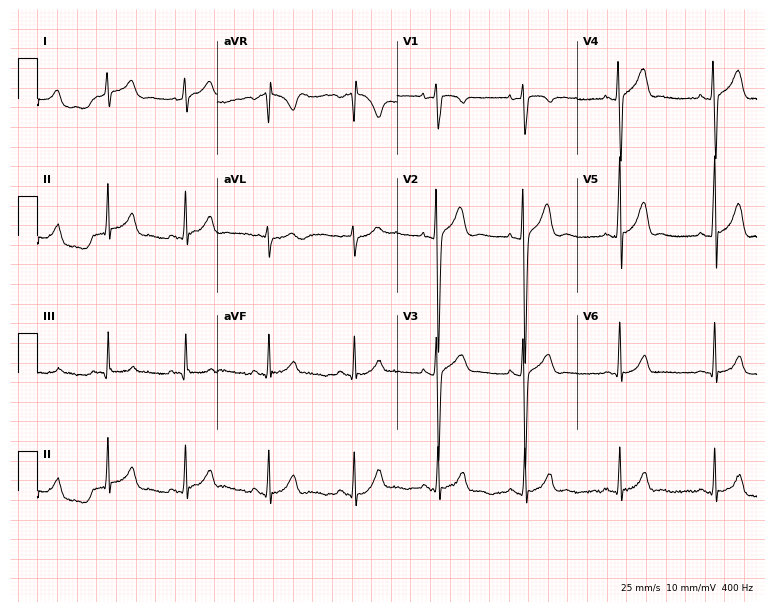
ECG — a 17-year-old male. Labelled as a normal ECG.